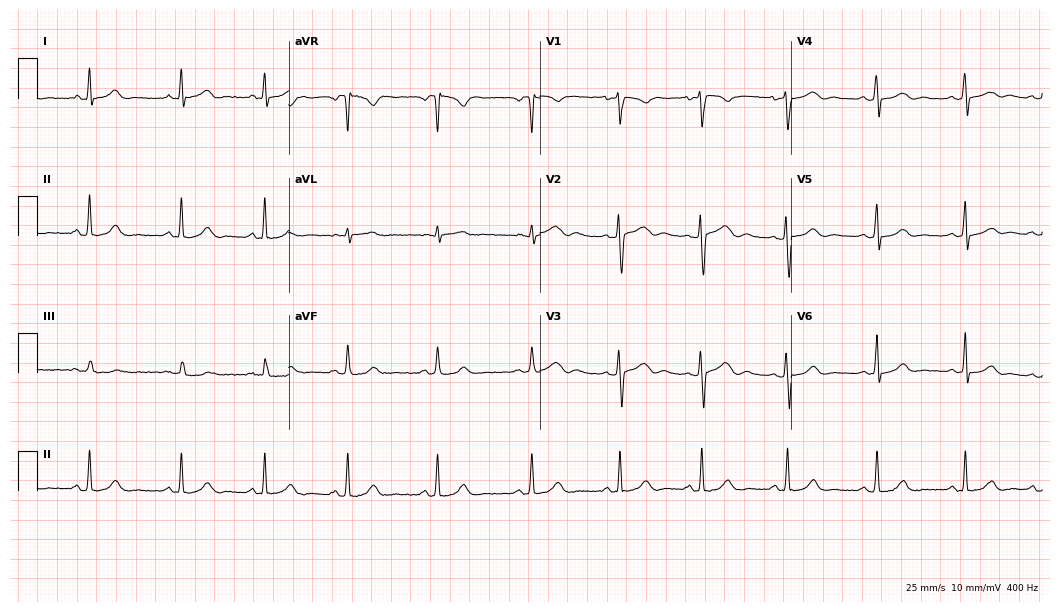
Electrocardiogram, a woman, 34 years old. Overall reading on record: normal ECG.